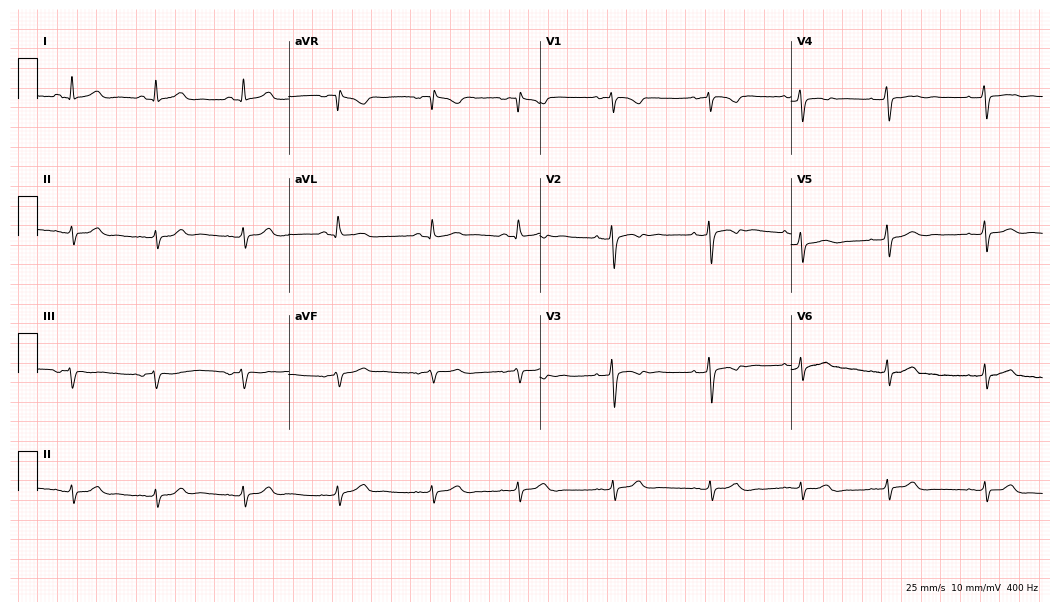
ECG — a 37-year-old female. Screened for six findings — first-degree AV block, right bundle branch block, left bundle branch block, sinus bradycardia, atrial fibrillation, sinus tachycardia — none is recorded. Other findings, if any, are not listed.